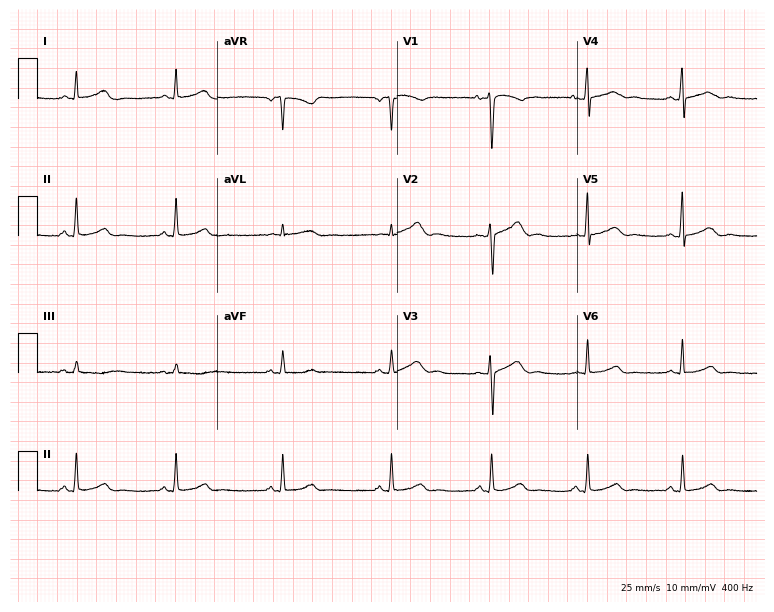
Resting 12-lead electrocardiogram (7.3-second recording at 400 Hz). Patient: a 41-year-old female. Read as a normal ECG.